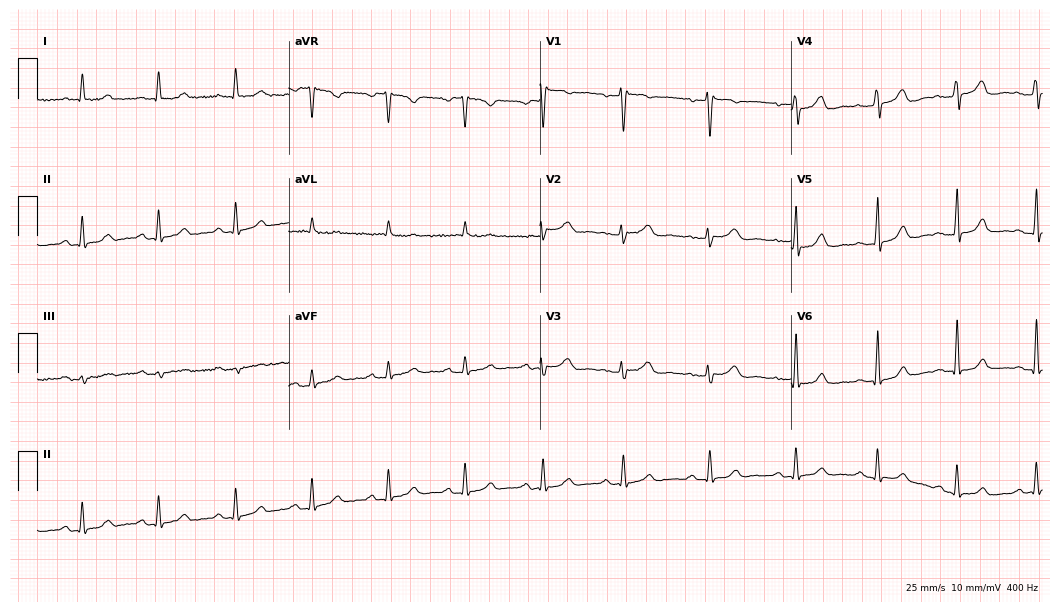
12-lead ECG from a 46-year-old woman. Screened for six findings — first-degree AV block, right bundle branch block, left bundle branch block, sinus bradycardia, atrial fibrillation, sinus tachycardia — none is recorded.